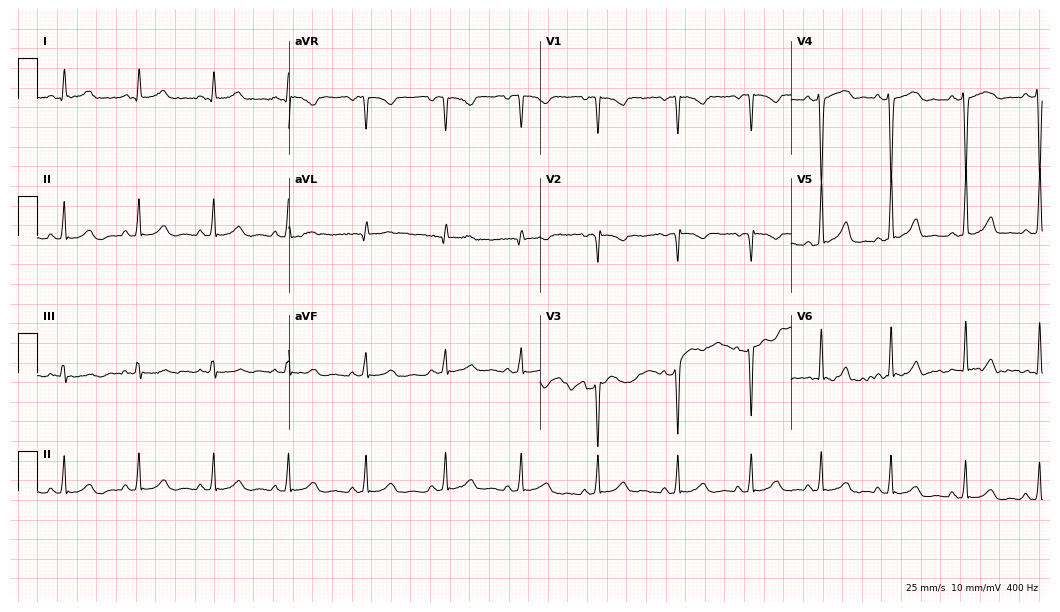
Standard 12-lead ECG recorded from a woman, 29 years old. None of these six findings is recorded: first-degree AV block, right bundle branch block (RBBB), left bundle branch block (LBBB), sinus bradycardia, atrial fibrillation (AF), sinus tachycardia. Findings outside these six are not listed.